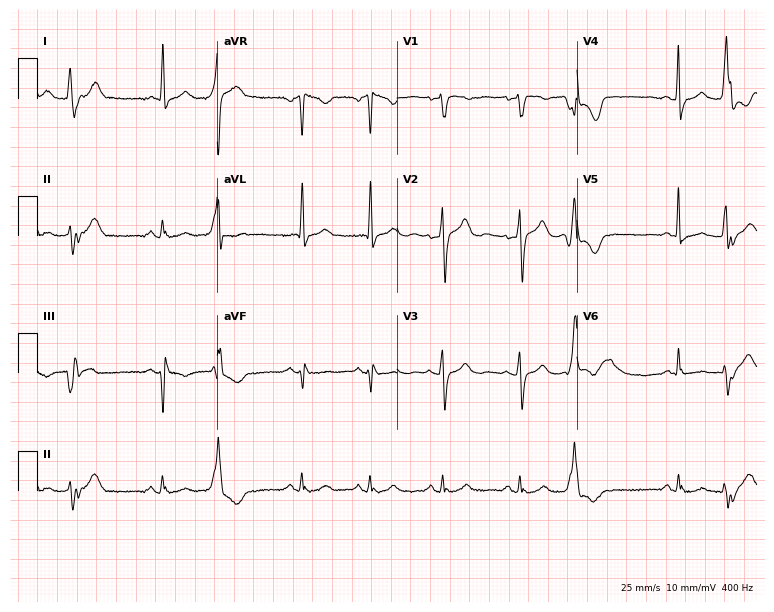
12-lead ECG from a 54-year-old female patient. Labelled as a normal ECG.